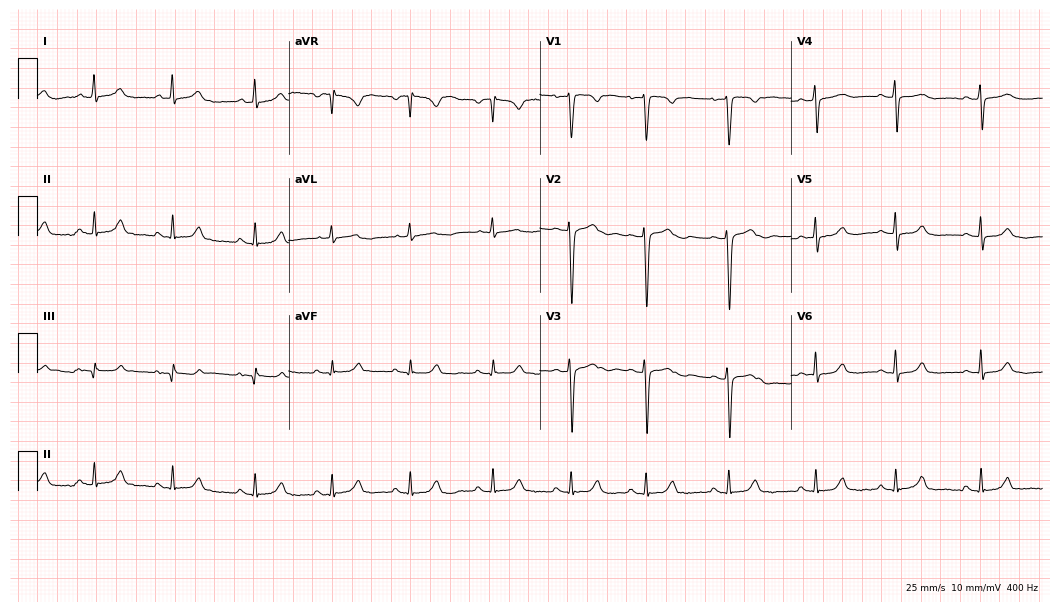
Resting 12-lead electrocardiogram. Patient: a 31-year-old female. Read as a normal ECG.